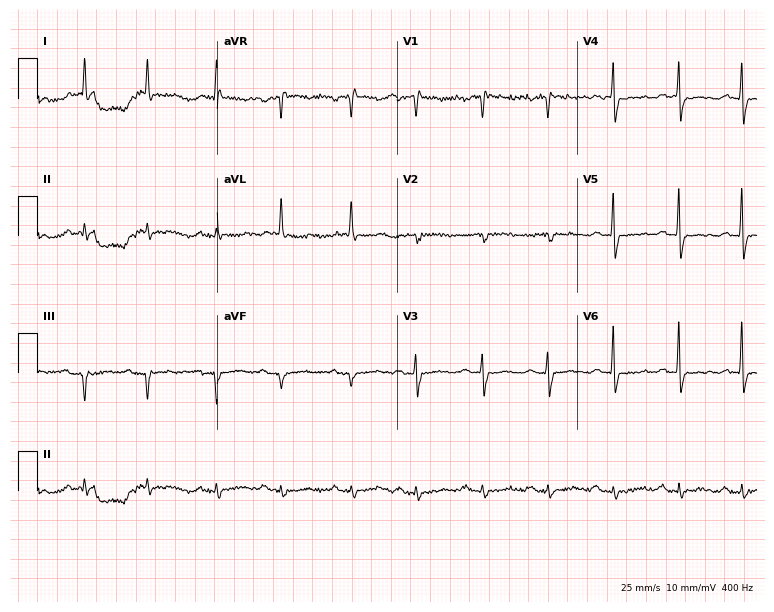
Resting 12-lead electrocardiogram (7.3-second recording at 400 Hz). Patient: a 79-year-old female. None of these six findings is recorded: first-degree AV block, right bundle branch block, left bundle branch block, sinus bradycardia, atrial fibrillation, sinus tachycardia.